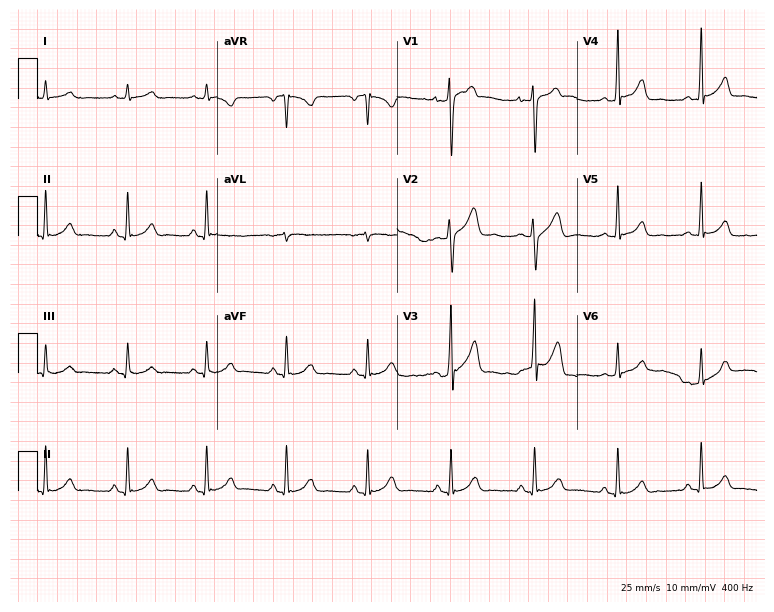
ECG (7.3-second recording at 400 Hz) — a male, 35 years old. Labelled as a normal ECG.